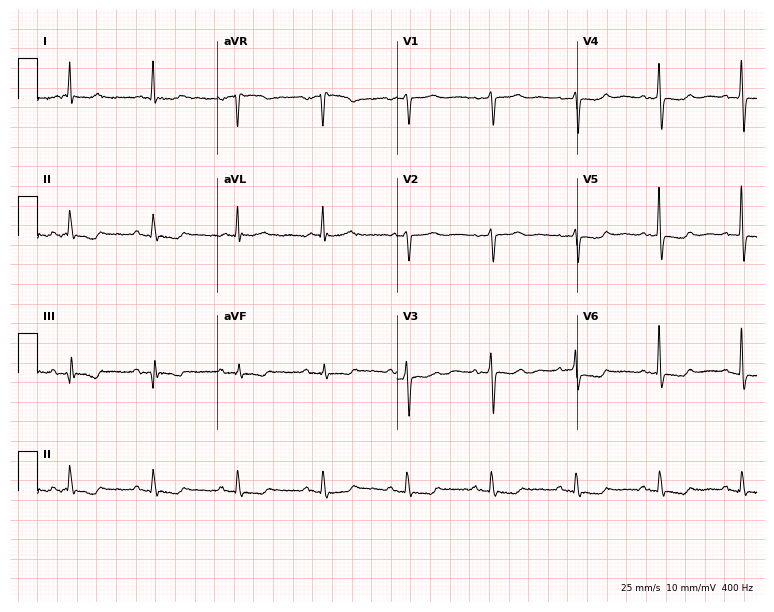
12-lead ECG (7.3-second recording at 400 Hz) from a female patient, 84 years old. Labelled as a normal ECG.